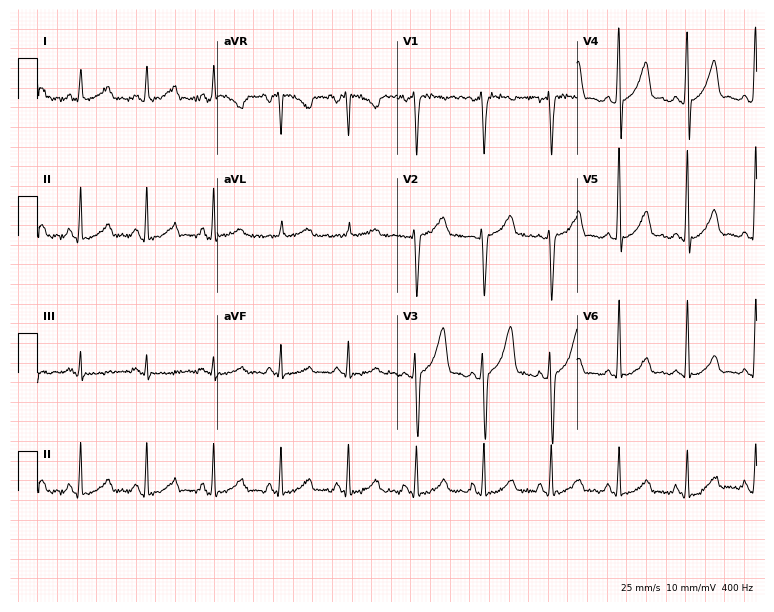
Resting 12-lead electrocardiogram (7.3-second recording at 400 Hz). Patient: a 41-year-old man. None of these six findings is recorded: first-degree AV block, right bundle branch block, left bundle branch block, sinus bradycardia, atrial fibrillation, sinus tachycardia. Only these six findings were labelled.